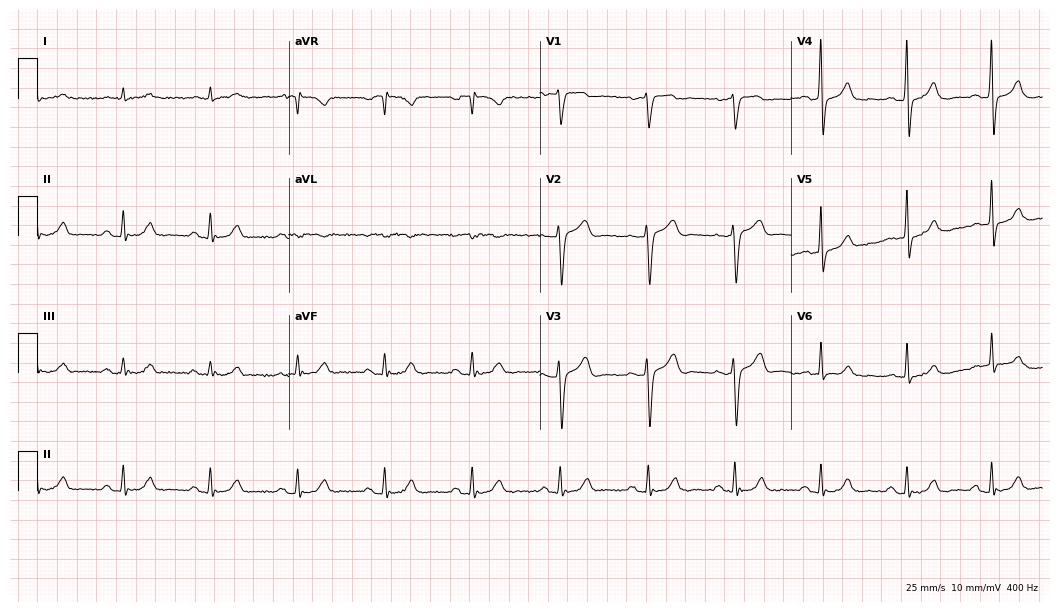
Resting 12-lead electrocardiogram. Patient: a male, 77 years old. None of these six findings is recorded: first-degree AV block, right bundle branch block (RBBB), left bundle branch block (LBBB), sinus bradycardia, atrial fibrillation (AF), sinus tachycardia.